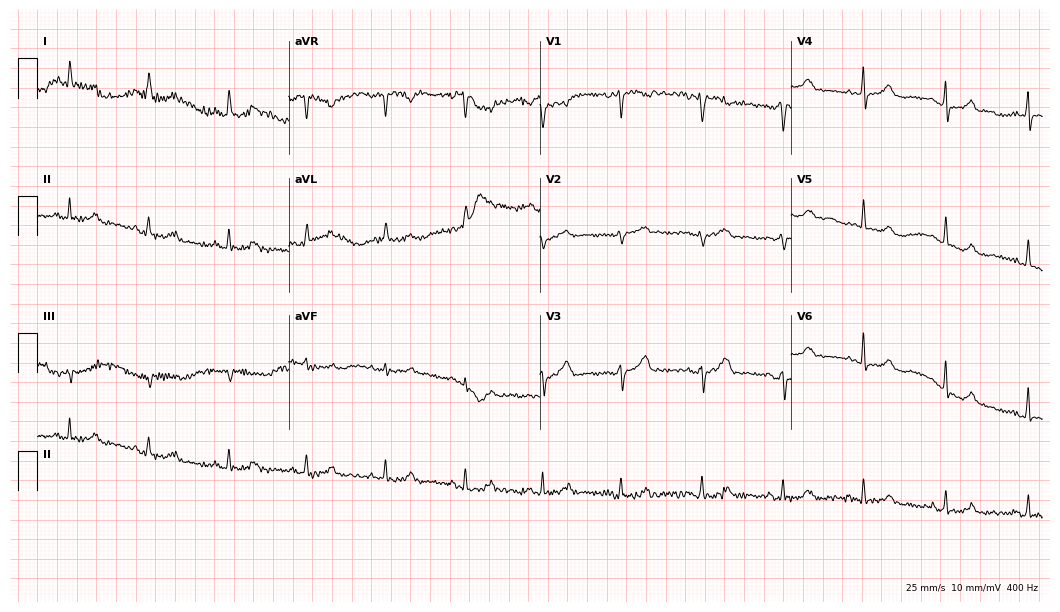
ECG (10.2-second recording at 400 Hz) — a 43-year-old female. Screened for six findings — first-degree AV block, right bundle branch block (RBBB), left bundle branch block (LBBB), sinus bradycardia, atrial fibrillation (AF), sinus tachycardia — none is recorded. Findings outside these six are not listed.